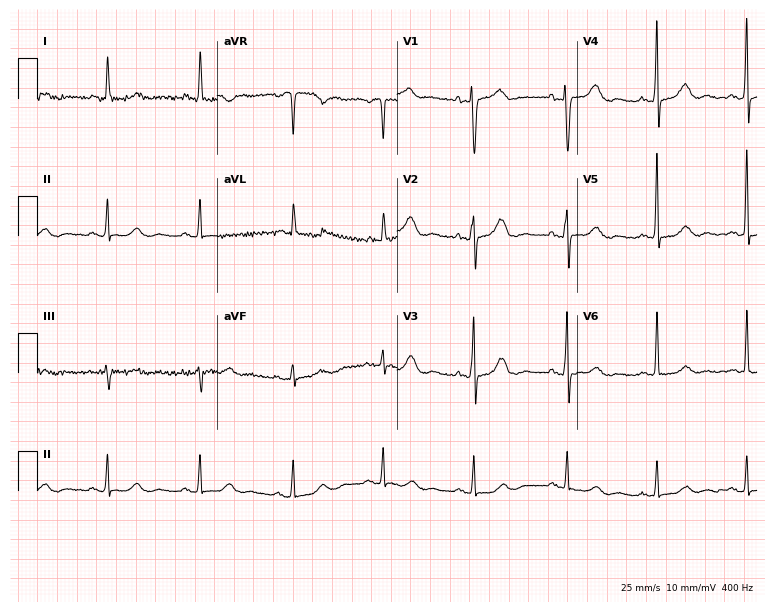
ECG — a 71-year-old female. Screened for six findings — first-degree AV block, right bundle branch block, left bundle branch block, sinus bradycardia, atrial fibrillation, sinus tachycardia — none is recorded. Only these six findings were labelled.